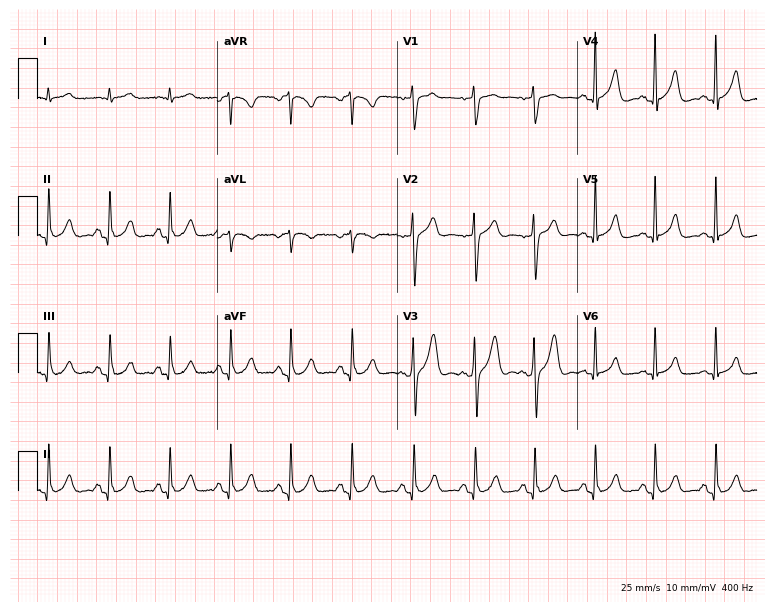
Electrocardiogram, a male, 33 years old. Overall reading on record: normal ECG.